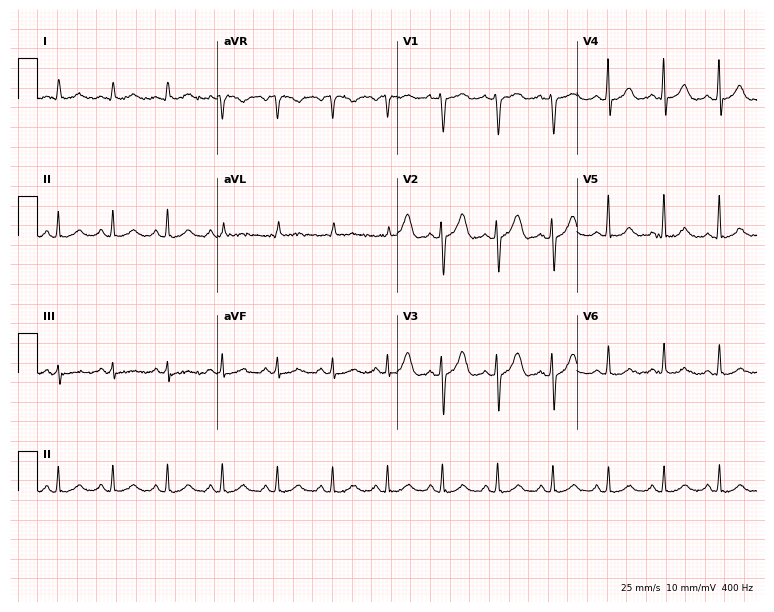
Resting 12-lead electrocardiogram (7.3-second recording at 400 Hz). Patient: a 74-year-old male. The tracing shows sinus tachycardia (a sinus rate of 100 beats per minute or more).